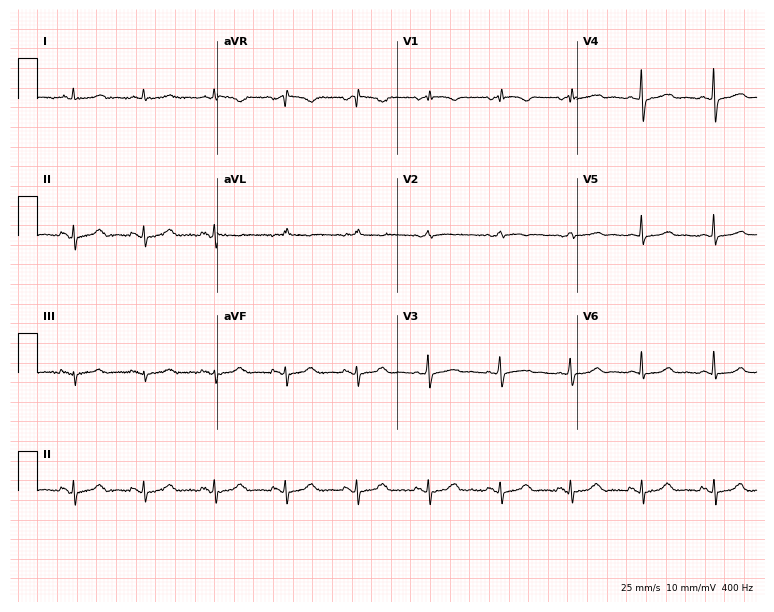
Electrocardiogram (7.3-second recording at 400 Hz), a female, 58 years old. Of the six screened findings (first-degree AV block, right bundle branch block (RBBB), left bundle branch block (LBBB), sinus bradycardia, atrial fibrillation (AF), sinus tachycardia), none is recorded.